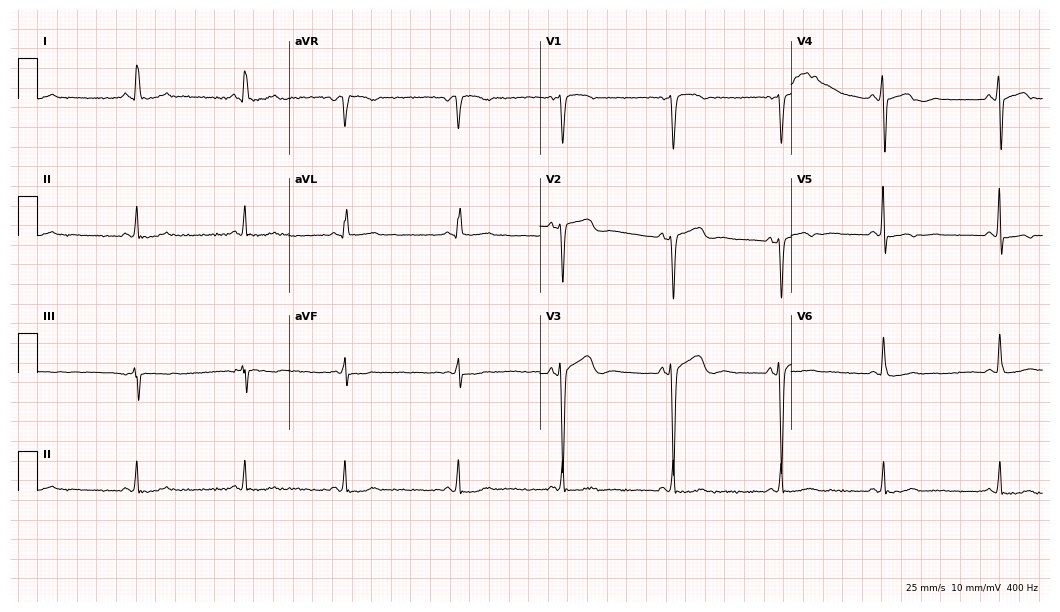
12-lead ECG (10.2-second recording at 400 Hz) from a 52-year-old female. Screened for six findings — first-degree AV block, right bundle branch block, left bundle branch block, sinus bradycardia, atrial fibrillation, sinus tachycardia — none is recorded. Only these six findings were labelled.